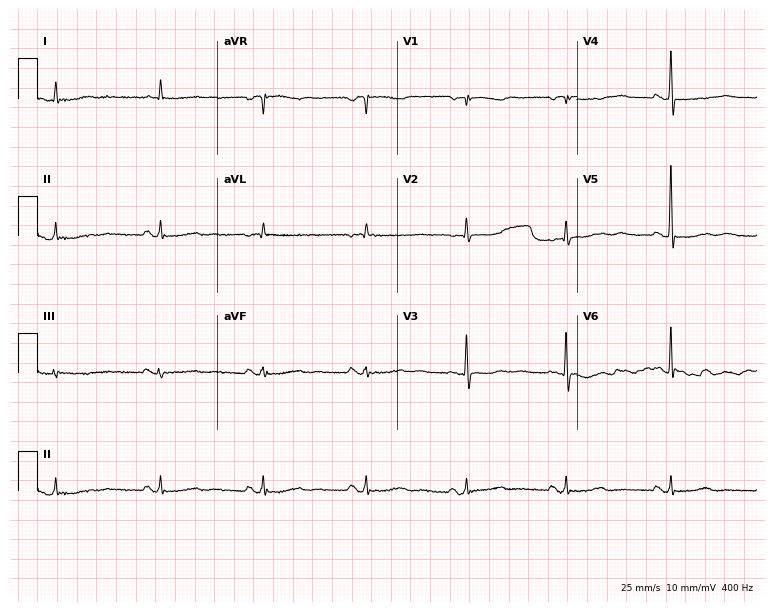
12-lead ECG (7.3-second recording at 400 Hz) from a female, 83 years old. Screened for six findings — first-degree AV block, right bundle branch block, left bundle branch block, sinus bradycardia, atrial fibrillation, sinus tachycardia — none is recorded.